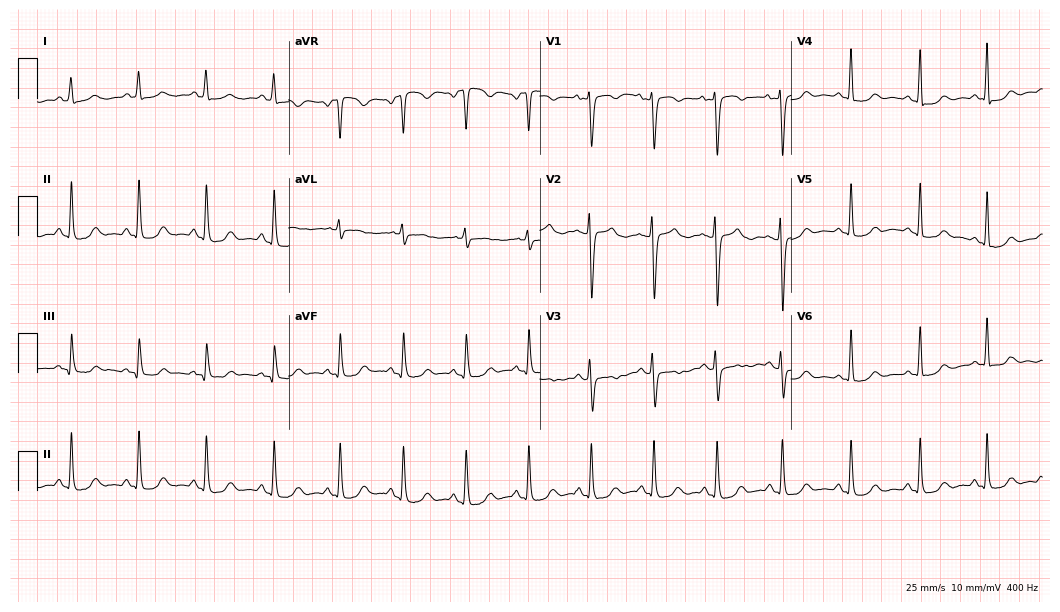
Standard 12-lead ECG recorded from a female, 51 years old. None of these six findings is recorded: first-degree AV block, right bundle branch block, left bundle branch block, sinus bradycardia, atrial fibrillation, sinus tachycardia. Findings outside these six are not listed.